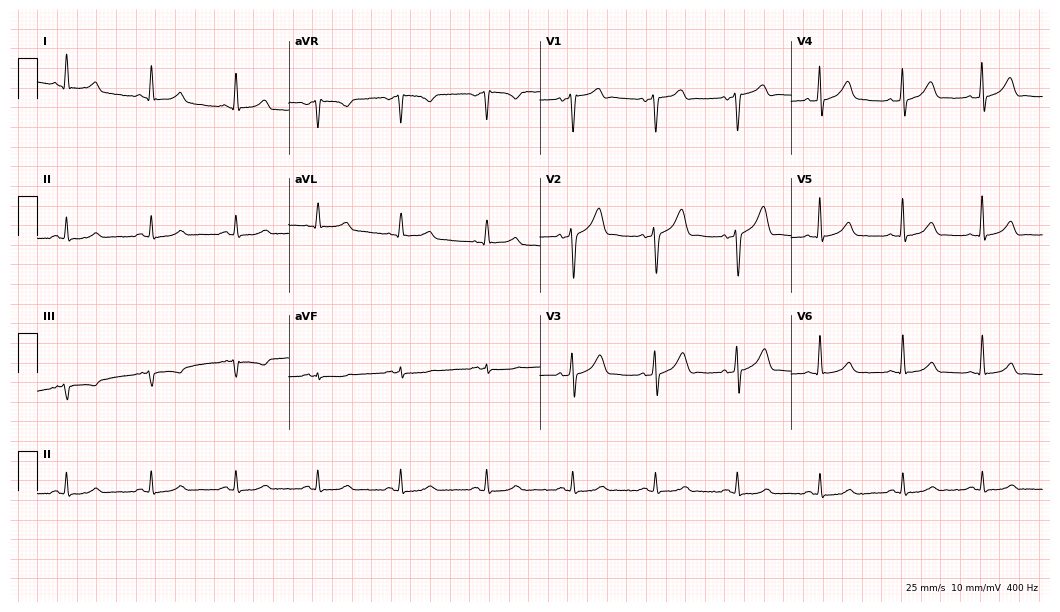
12-lead ECG from a 40-year-old female. Labelled as a normal ECG.